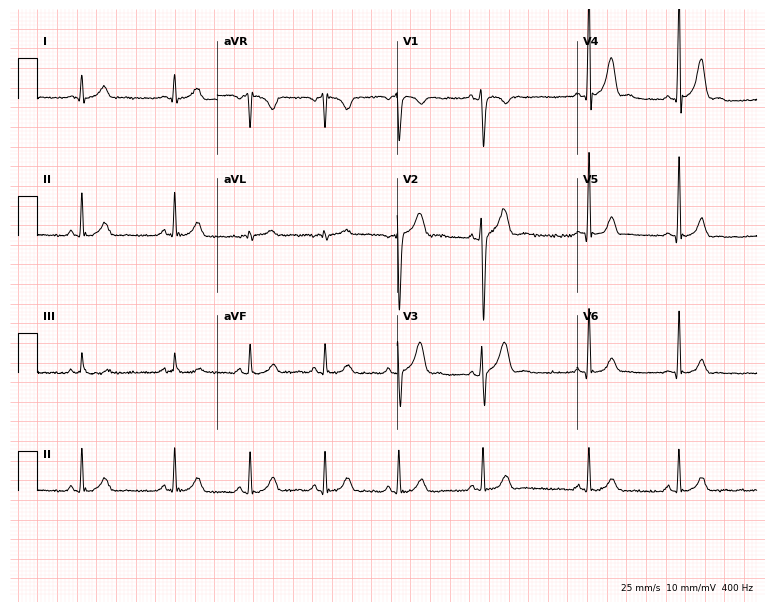
12-lead ECG from a male, 22 years old. Screened for six findings — first-degree AV block, right bundle branch block, left bundle branch block, sinus bradycardia, atrial fibrillation, sinus tachycardia — none is recorded. Other findings, if any, are not listed.